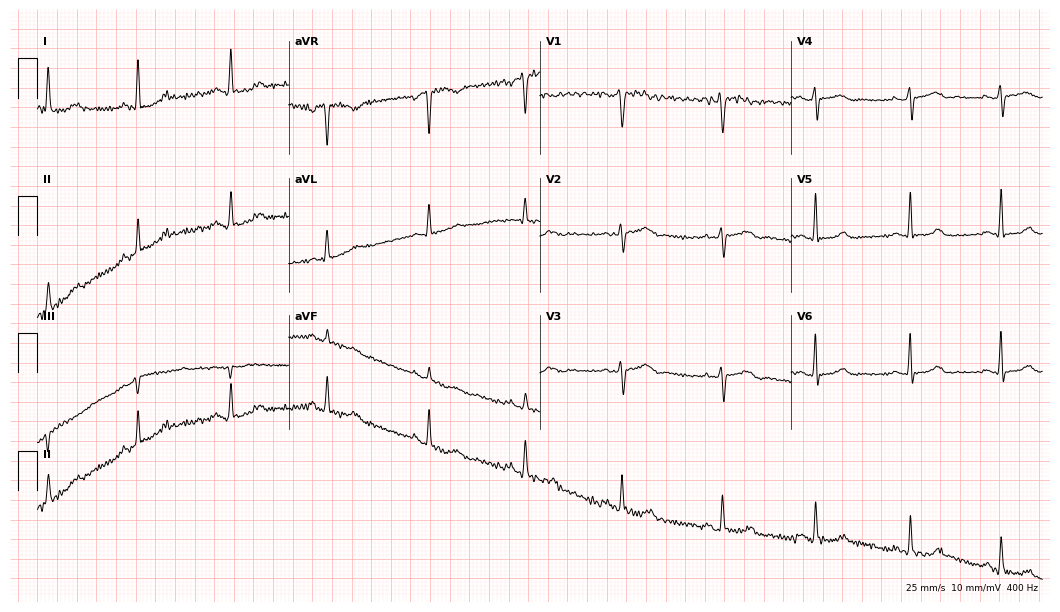
12-lead ECG (10.2-second recording at 400 Hz) from a 43-year-old female. Labelled as a normal ECG.